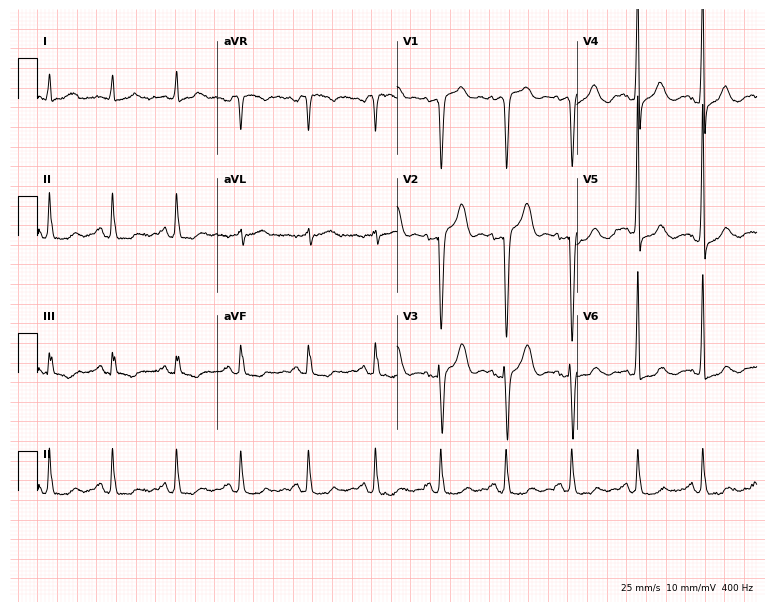
Electrocardiogram, a male patient, 64 years old. Of the six screened findings (first-degree AV block, right bundle branch block, left bundle branch block, sinus bradycardia, atrial fibrillation, sinus tachycardia), none is recorded. Only these six findings were labelled.